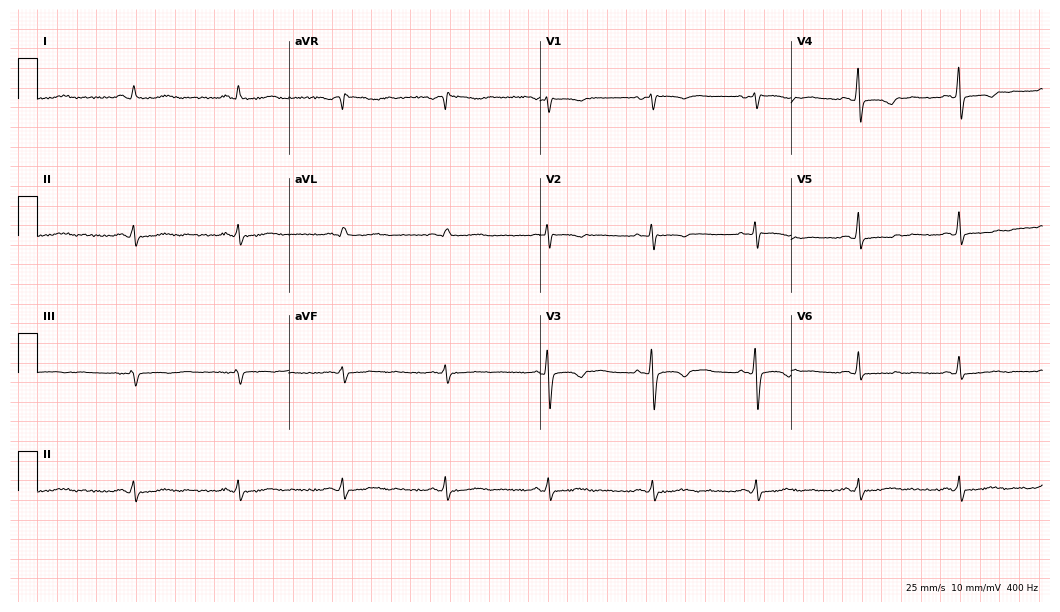
Resting 12-lead electrocardiogram (10.2-second recording at 400 Hz). Patient: a 50-year-old female. None of these six findings is recorded: first-degree AV block, right bundle branch block, left bundle branch block, sinus bradycardia, atrial fibrillation, sinus tachycardia.